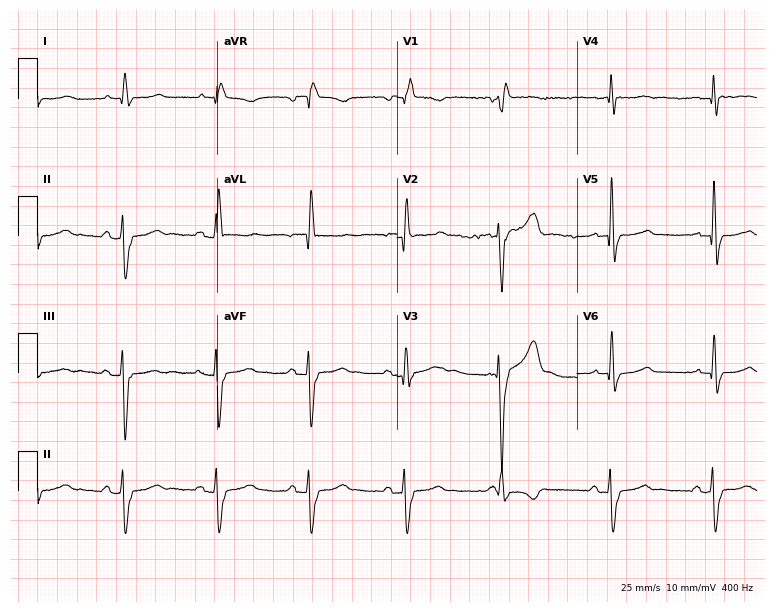
Electrocardiogram, a female patient, 79 years old. Interpretation includes right bundle branch block.